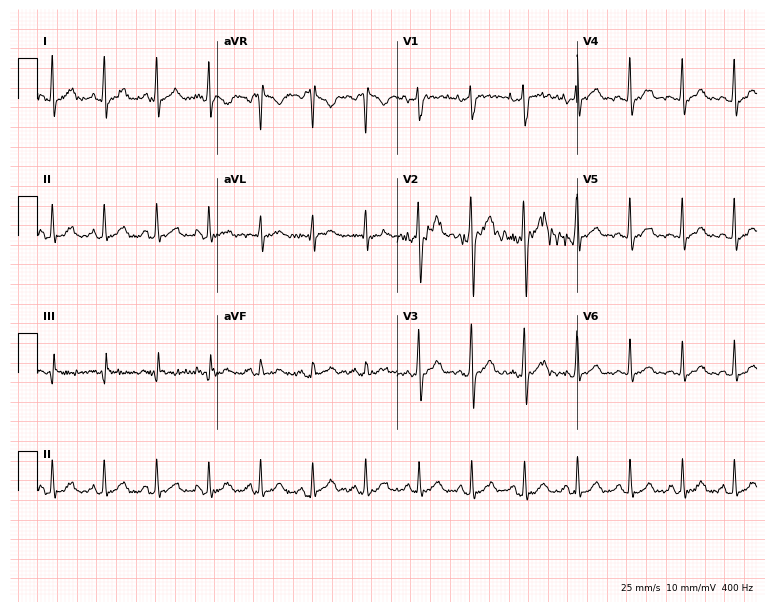
12-lead ECG from a male, 34 years old. Shows sinus tachycardia (a sinus rate of 100 beats per minute or more).